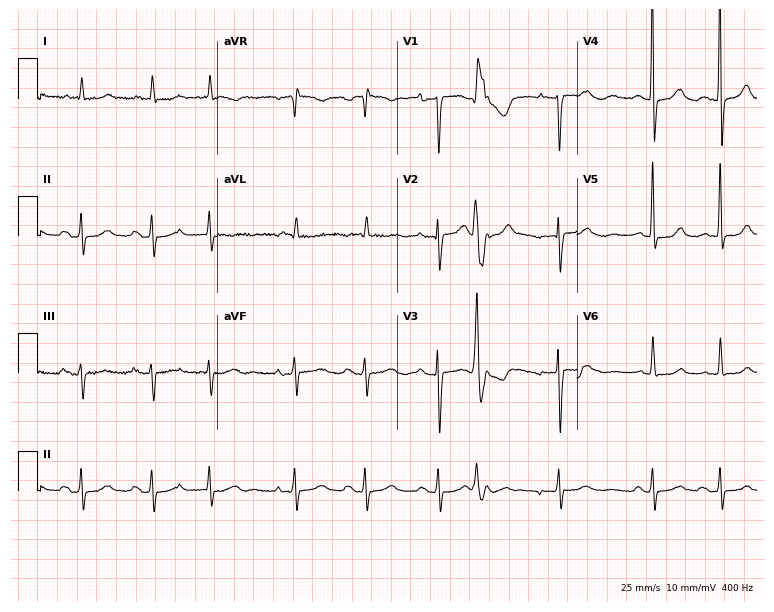
12-lead ECG from an 84-year-old female. Screened for six findings — first-degree AV block, right bundle branch block, left bundle branch block, sinus bradycardia, atrial fibrillation, sinus tachycardia — none is recorded. Findings outside these six are not listed.